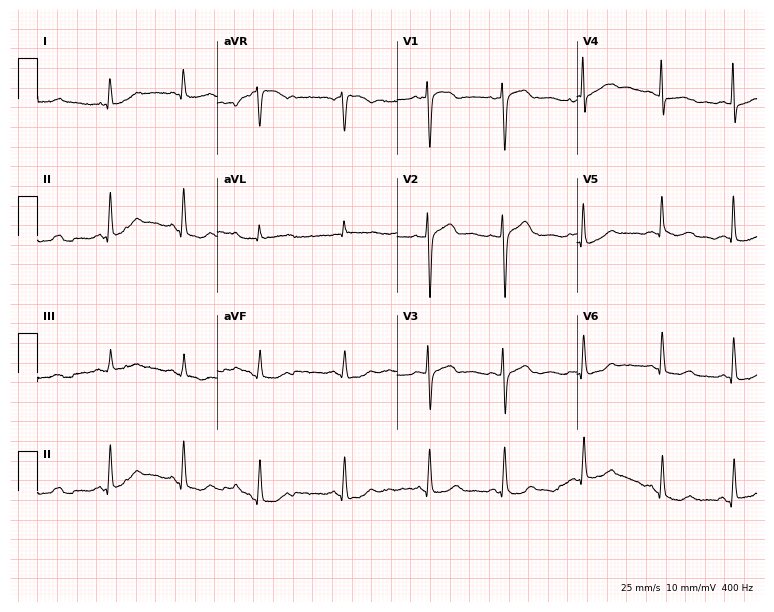
Standard 12-lead ECG recorded from a 51-year-old female. Read as a normal ECG.